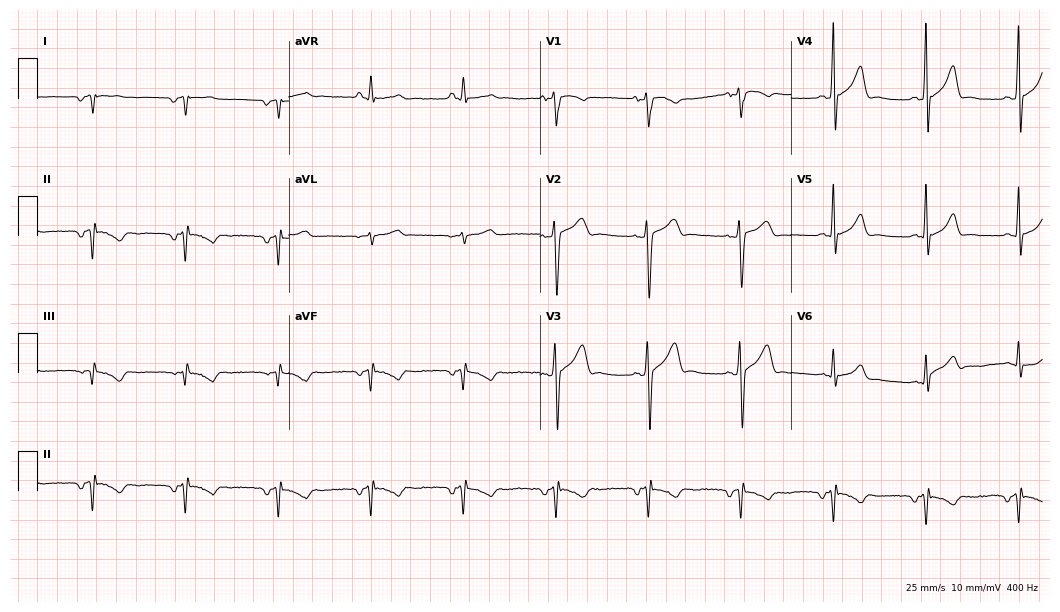
Standard 12-lead ECG recorded from a man, 18 years old. None of these six findings is recorded: first-degree AV block, right bundle branch block (RBBB), left bundle branch block (LBBB), sinus bradycardia, atrial fibrillation (AF), sinus tachycardia. Other findings, if any, are not listed.